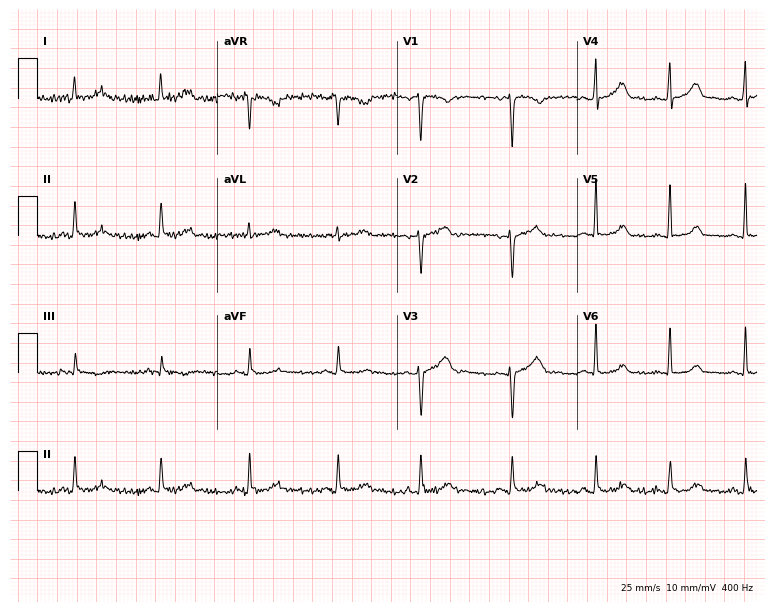
Electrocardiogram (7.3-second recording at 400 Hz), a 25-year-old female. Of the six screened findings (first-degree AV block, right bundle branch block, left bundle branch block, sinus bradycardia, atrial fibrillation, sinus tachycardia), none is recorded. Only these six findings were labelled.